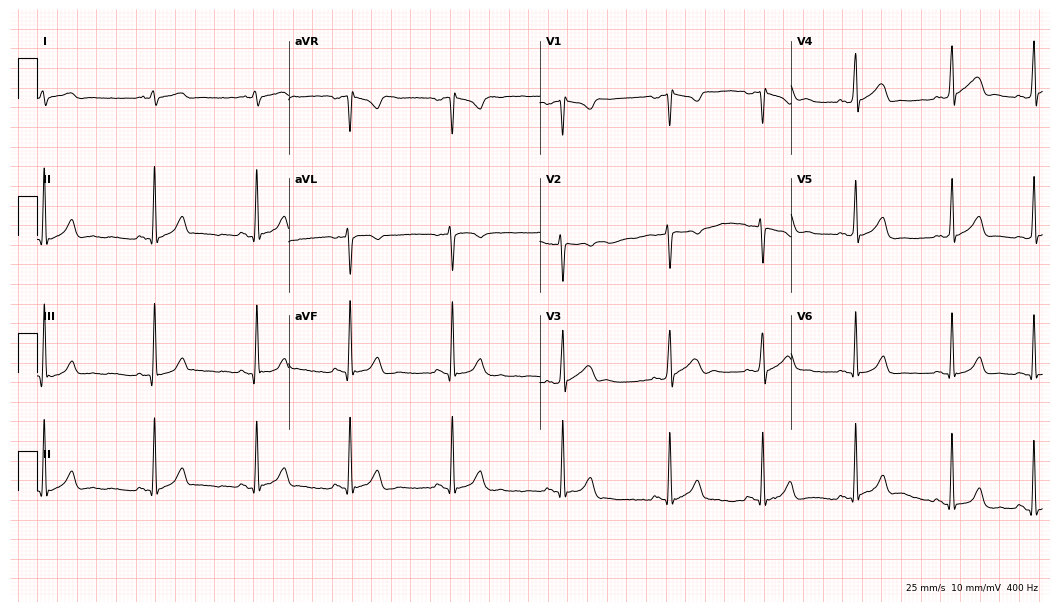
Resting 12-lead electrocardiogram. Patient: a 42-year-old male. None of these six findings is recorded: first-degree AV block, right bundle branch block, left bundle branch block, sinus bradycardia, atrial fibrillation, sinus tachycardia.